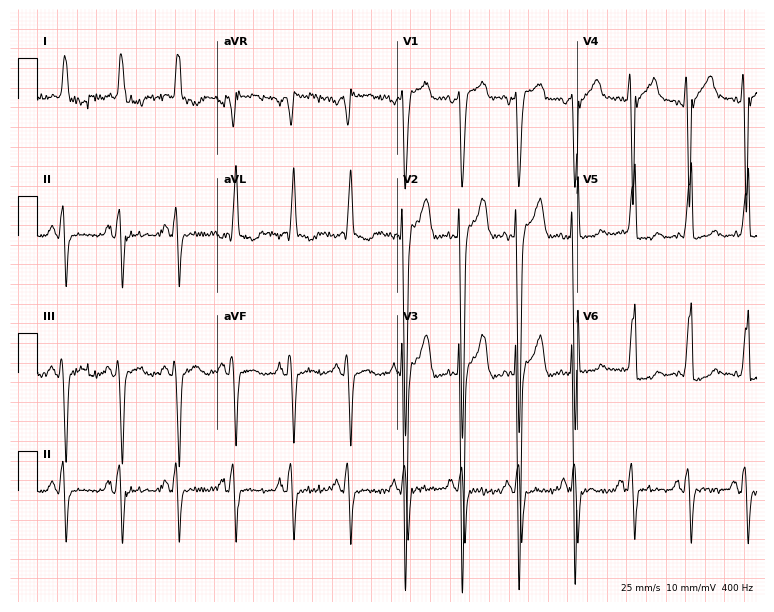
ECG (7.3-second recording at 400 Hz) — a 76-year-old male. Findings include sinus tachycardia (a sinus rate of 100 beats per minute or more).